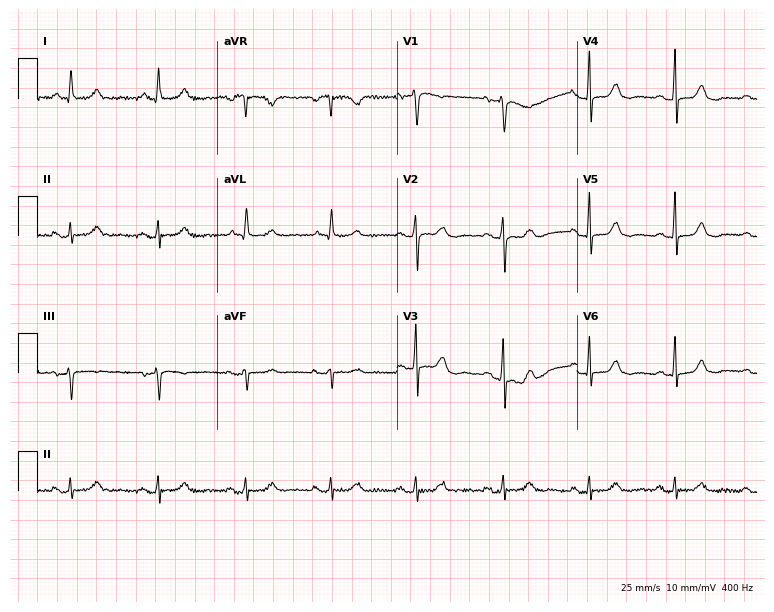
ECG — a 70-year-old female patient. Screened for six findings — first-degree AV block, right bundle branch block, left bundle branch block, sinus bradycardia, atrial fibrillation, sinus tachycardia — none is recorded. Other findings, if any, are not listed.